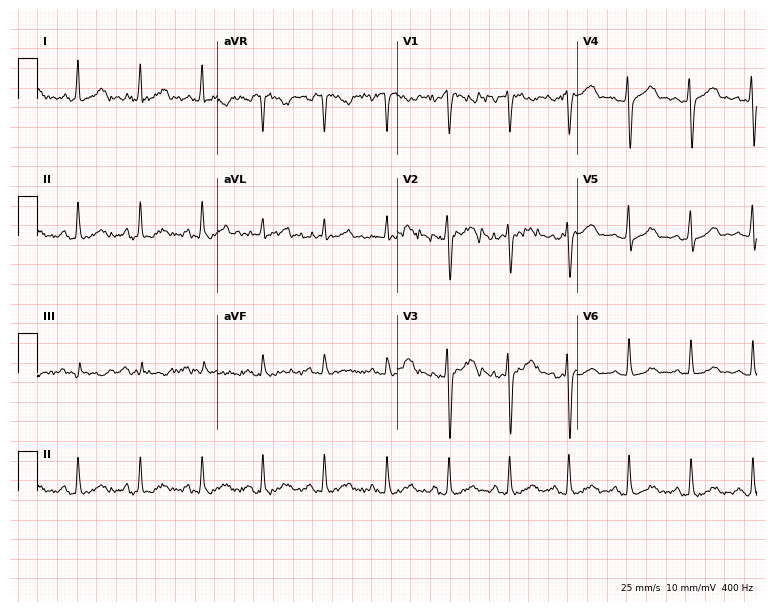
12-lead ECG (7.3-second recording at 400 Hz) from a woman, 26 years old. Screened for six findings — first-degree AV block, right bundle branch block, left bundle branch block, sinus bradycardia, atrial fibrillation, sinus tachycardia — none is recorded.